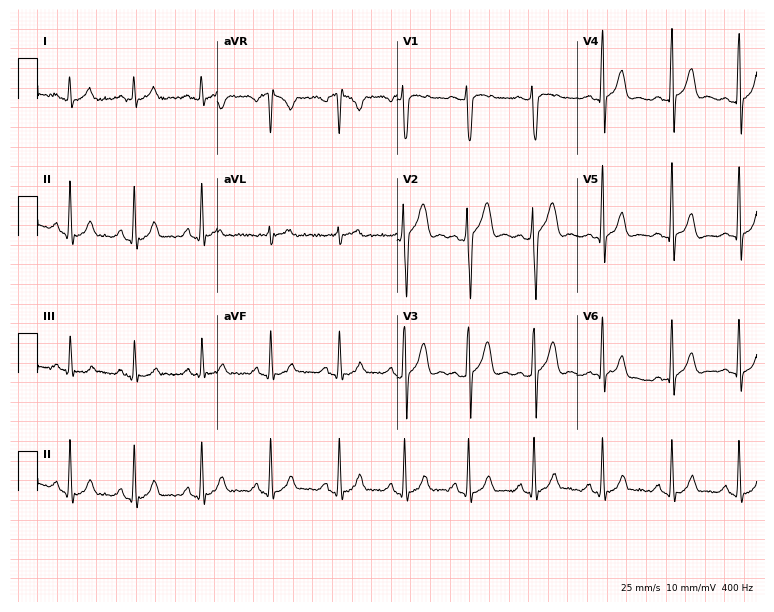
Electrocardiogram, a 17-year-old male. Overall reading on record: normal ECG.